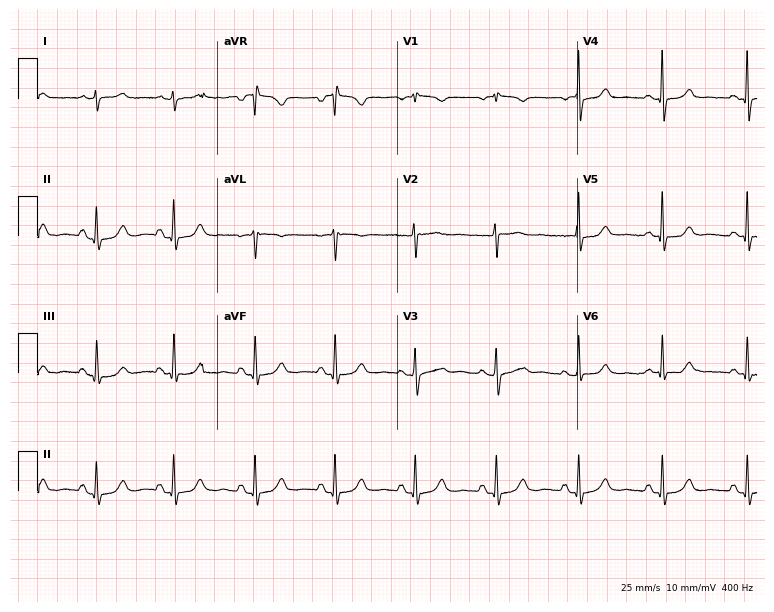
Standard 12-lead ECG recorded from a 47-year-old woman. Read as a normal ECG.